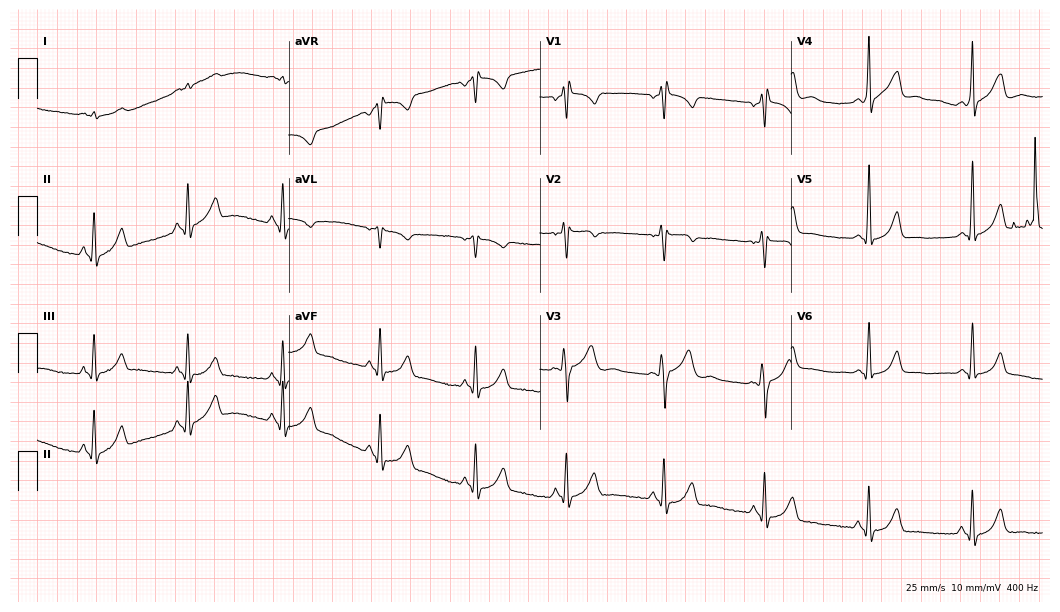
ECG (10.2-second recording at 400 Hz) — a 40-year-old male. Screened for six findings — first-degree AV block, right bundle branch block, left bundle branch block, sinus bradycardia, atrial fibrillation, sinus tachycardia — none is recorded.